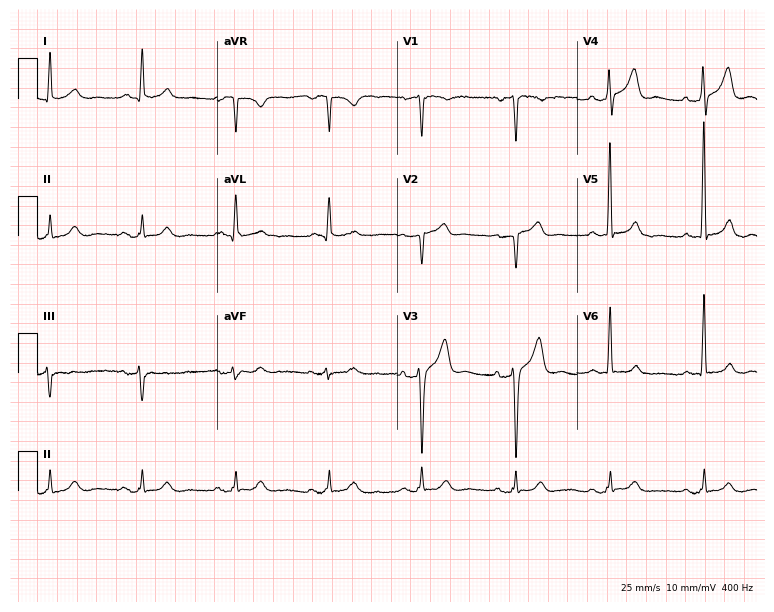
12-lead ECG from a male, 66 years old. Recorded interpretation: within normal limits.